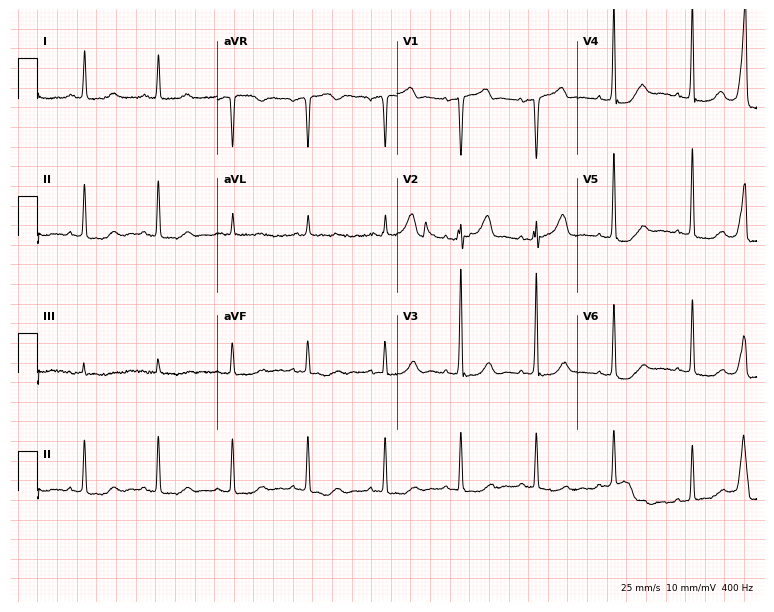
Standard 12-lead ECG recorded from a 73-year-old female (7.3-second recording at 400 Hz). None of these six findings is recorded: first-degree AV block, right bundle branch block, left bundle branch block, sinus bradycardia, atrial fibrillation, sinus tachycardia. Only these six findings were labelled.